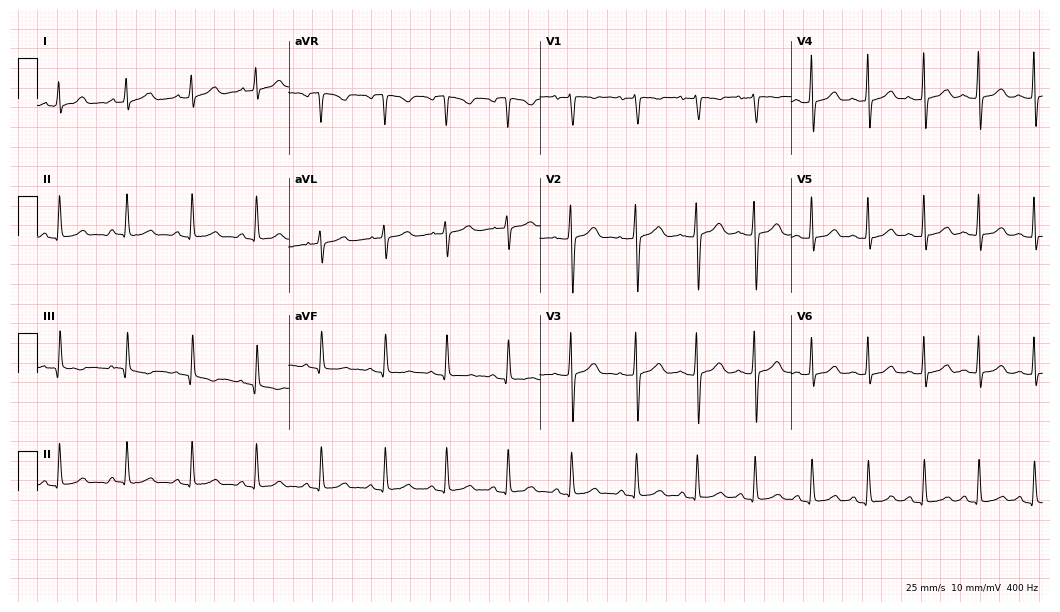
Resting 12-lead electrocardiogram. Patient: a 17-year-old female. None of these six findings is recorded: first-degree AV block, right bundle branch block, left bundle branch block, sinus bradycardia, atrial fibrillation, sinus tachycardia. Findings outside these six are not listed.